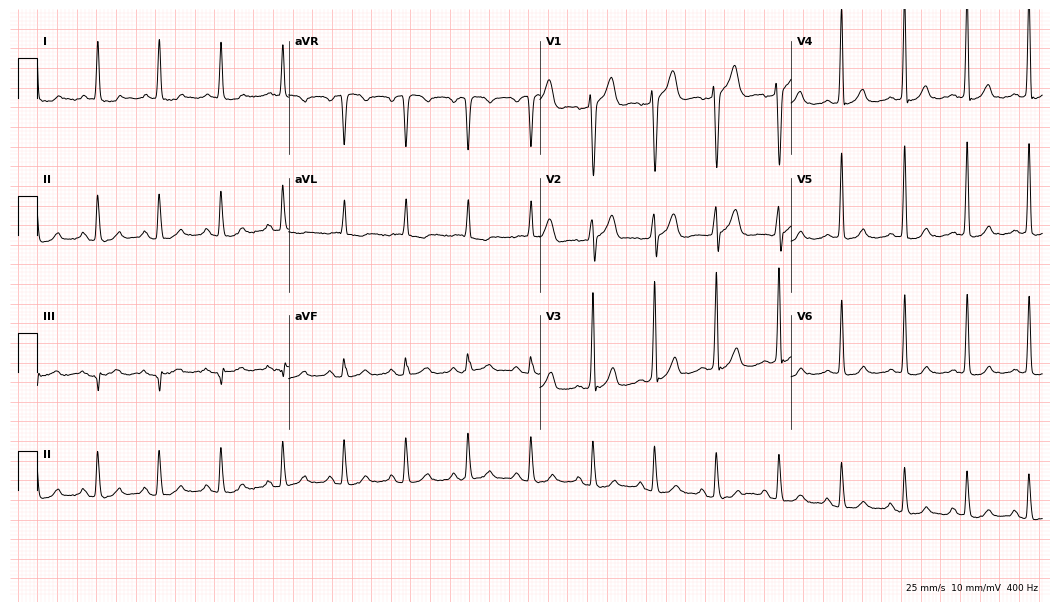
Resting 12-lead electrocardiogram (10.2-second recording at 400 Hz). Patient: a male, 79 years old. None of these six findings is recorded: first-degree AV block, right bundle branch block, left bundle branch block, sinus bradycardia, atrial fibrillation, sinus tachycardia. Other findings, if any, are not listed.